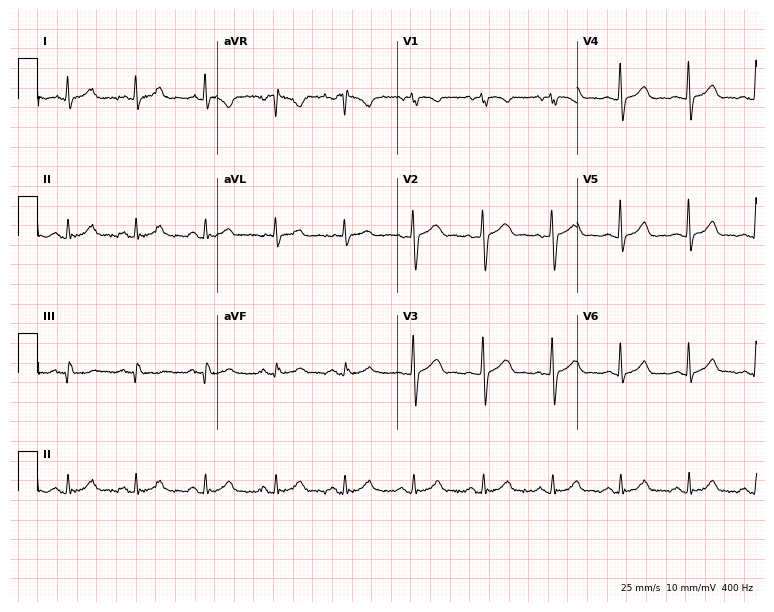
12-lead ECG (7.3-second recording at 400 Hz) from a female patient, 41 years old. Labelled as a normal ECG.